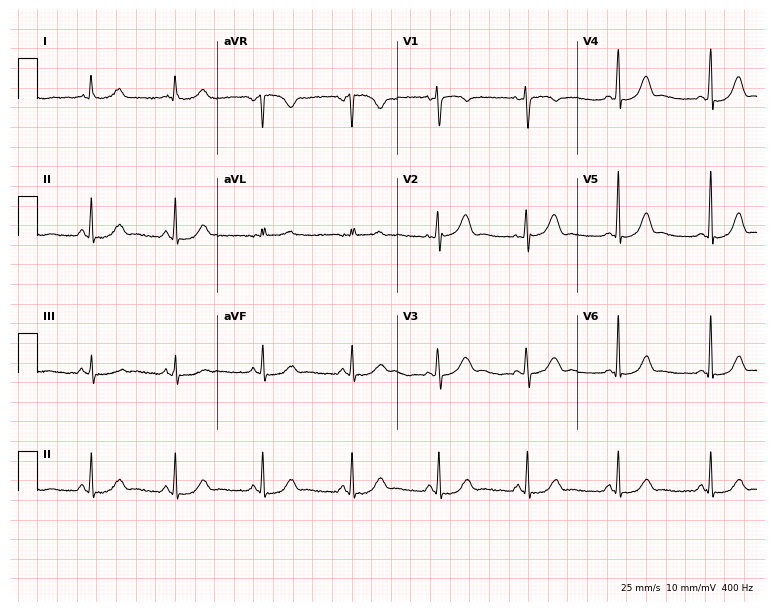
12-lead ECG (7.3-second recording at 400 Hz) from a 45-year-old woman. Labelled as a normal ECG.